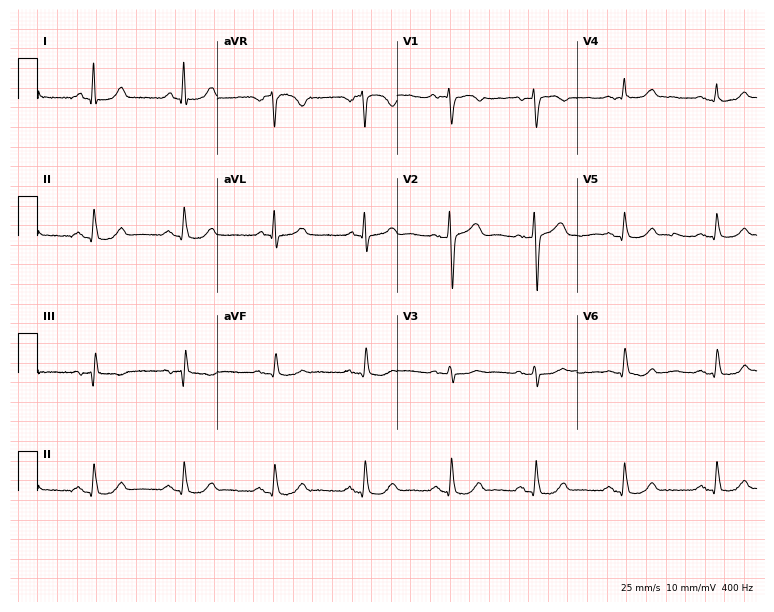
12-lead ECG from a woman, 55 years old (7.3-second recording at 400 Hz). Recorded interpretation: within normal limits.